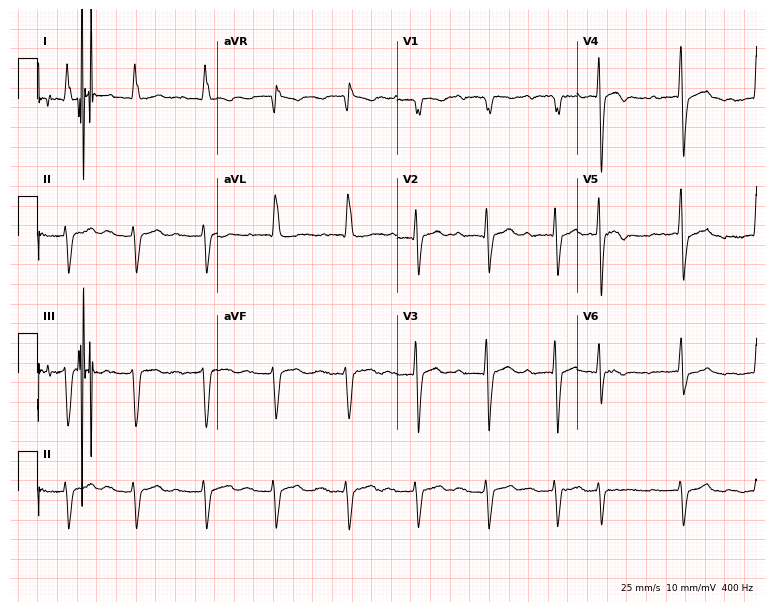
12-lead ECG (7.3-second recording at 400 Hz) from a man, 85 years old. Findings include first-degree AV block.